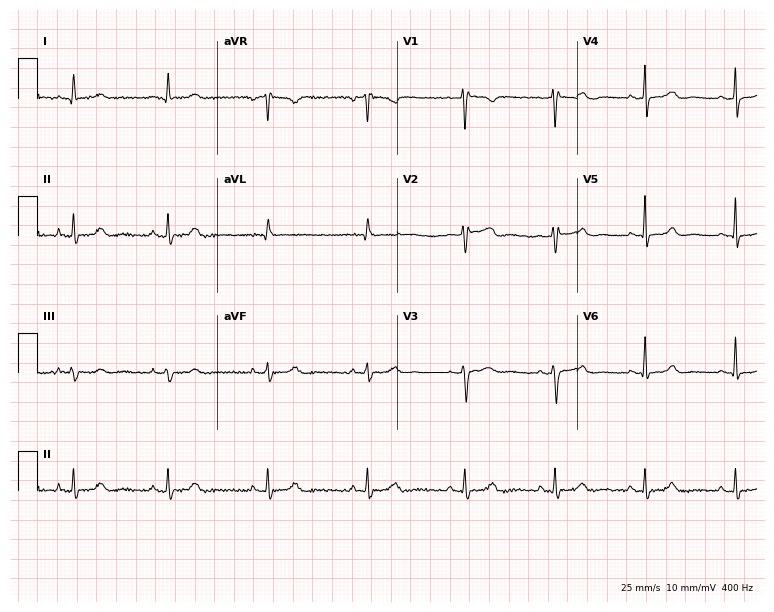
12-lead ECG (7.3-second recording at 400 Hz) from a 46-year-old female. Screened for six findings — first-degree AV block, right bundle branch block, left bundle branch block, sinus bradycardia, atrial fibrillation, sinus tachycardia — none is recorded.